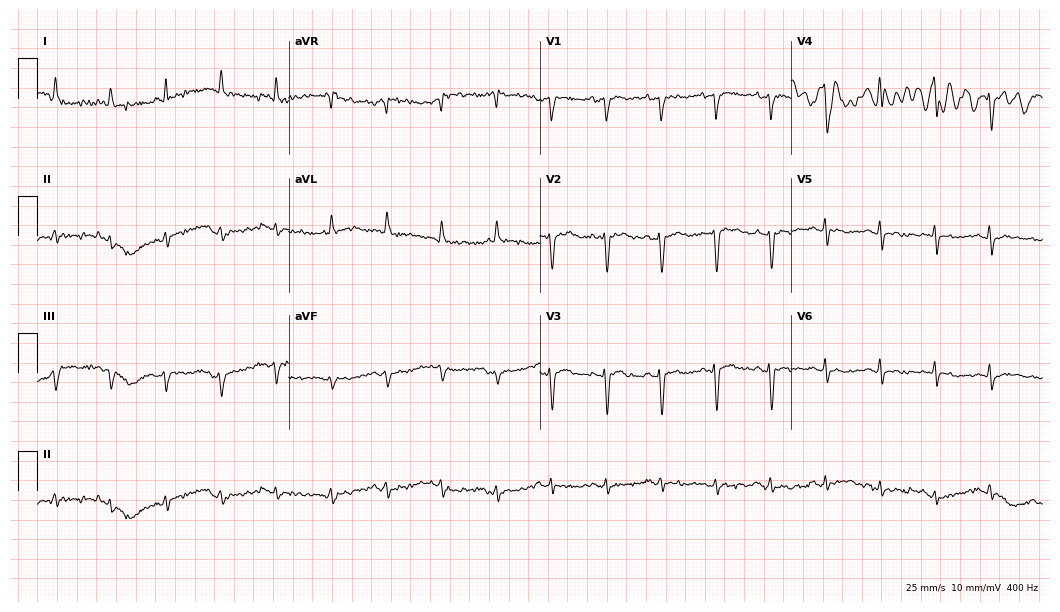
12-lead ECG from an 85-year-old male patient (10.2-second recording at 400 Hz). No first-degree AV block, right bundle branch block (RBBB), left bundle branch block (LBBB), sinus bradycardia, atrial fibrillation (AF) or sinus tachycardia recorded for this tracing.